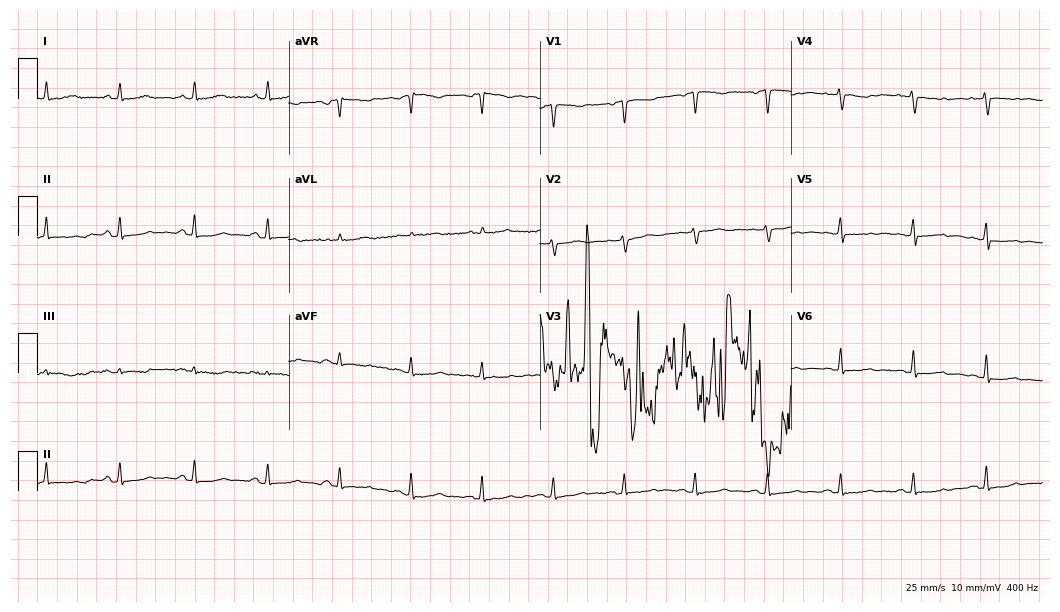
12-lead ECG (10.2-second recording at 400 Hz) from a 52-year-old female. Screened for six findings — first-degree AV block, right bundle branch block, left bundle branch block, sinus bradycardia, atrial fibrillation, sinus tachycardia — none is recorded. Other findings, if any, are not listed.